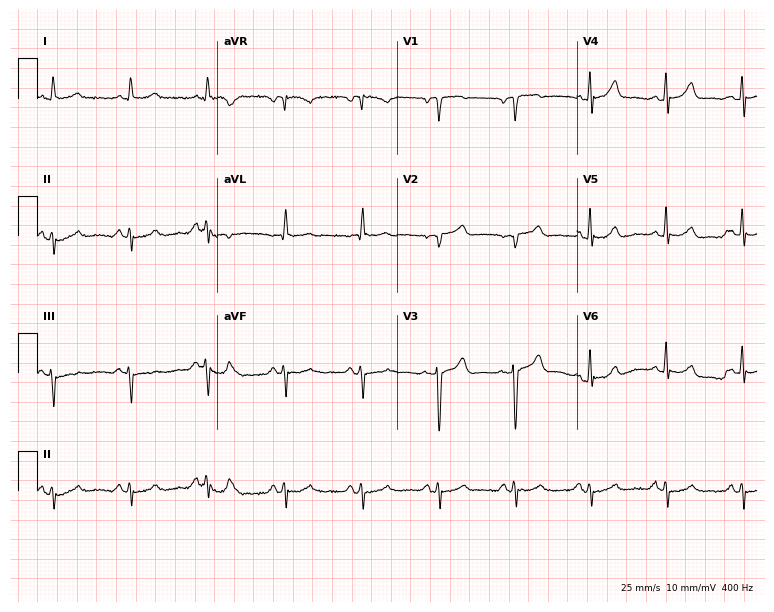
Standard 12-lead ECG recorded from a 68-year-old male (7.3-second recording at 400 Hz). None of these six findings is recorded: first-degree AV block, right bundle branch block, left bundle branch block, sinus bradycardia, atrial fibrillation, sinus tachycardia.